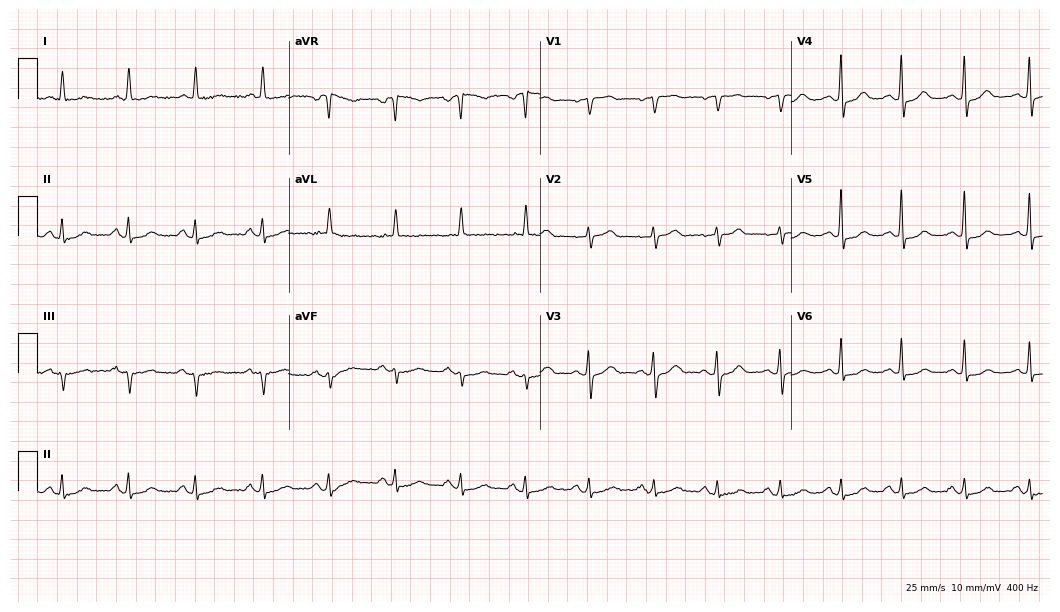
12-lead ECG from a 75-year-old female patient. Recorded interpretation: within normal limits.